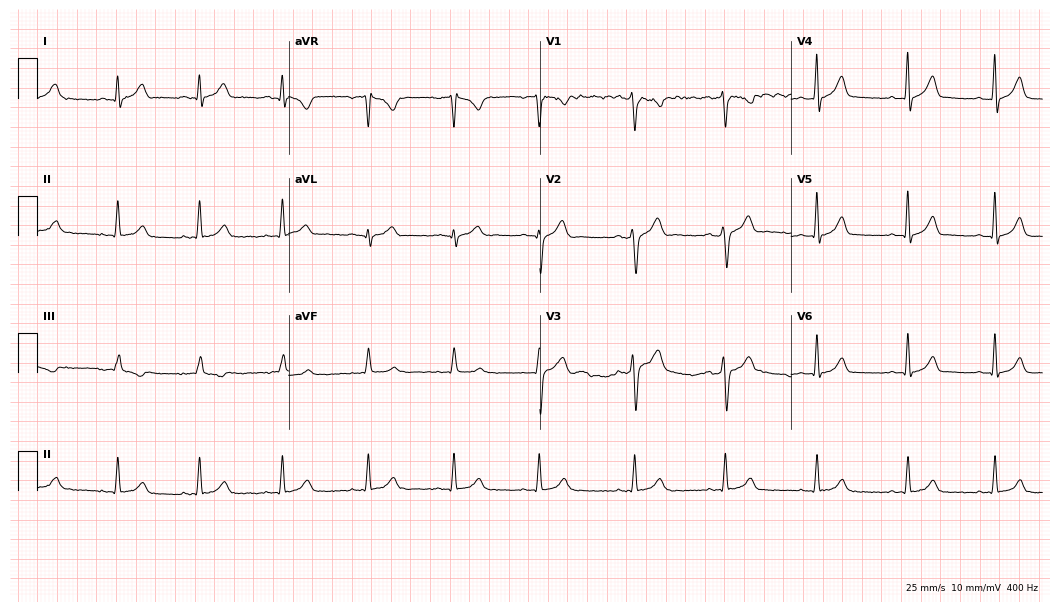
12-lead ECG from a man, 30 years old. Recorded interpretation: within normal limits.